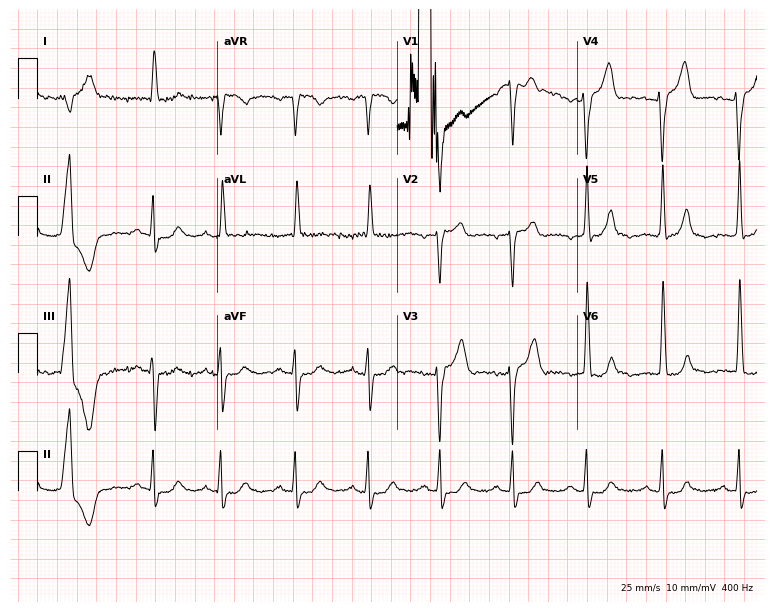
Electrocardiogram, an 81-year-old female patient. Of the six screened findings (first-degree AV block, right bundle branch block (RBBB), left bundle branch block (LBBB), sinus bradycardia, atrial fibrillation (AF), sinus tachycardia), none is recorded.